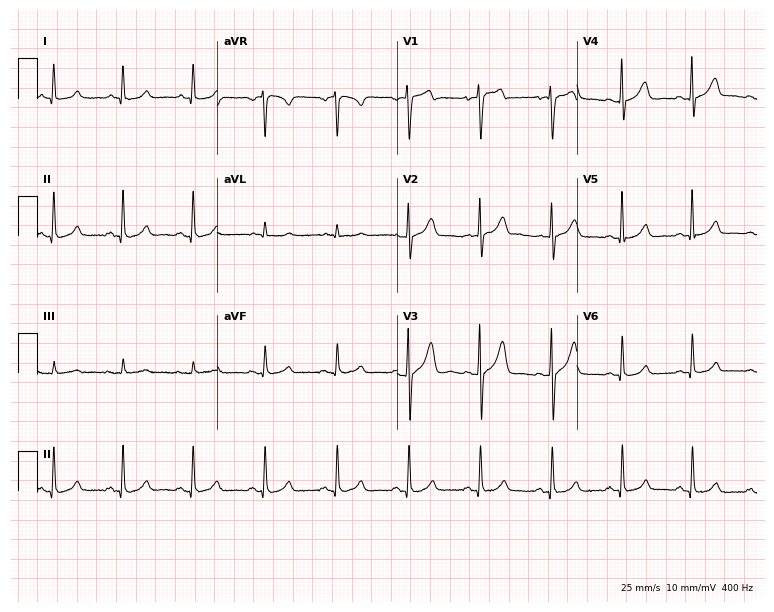
Standard 12-lead ECG recorded from a female, 60 years old. Read as a normal ECG.